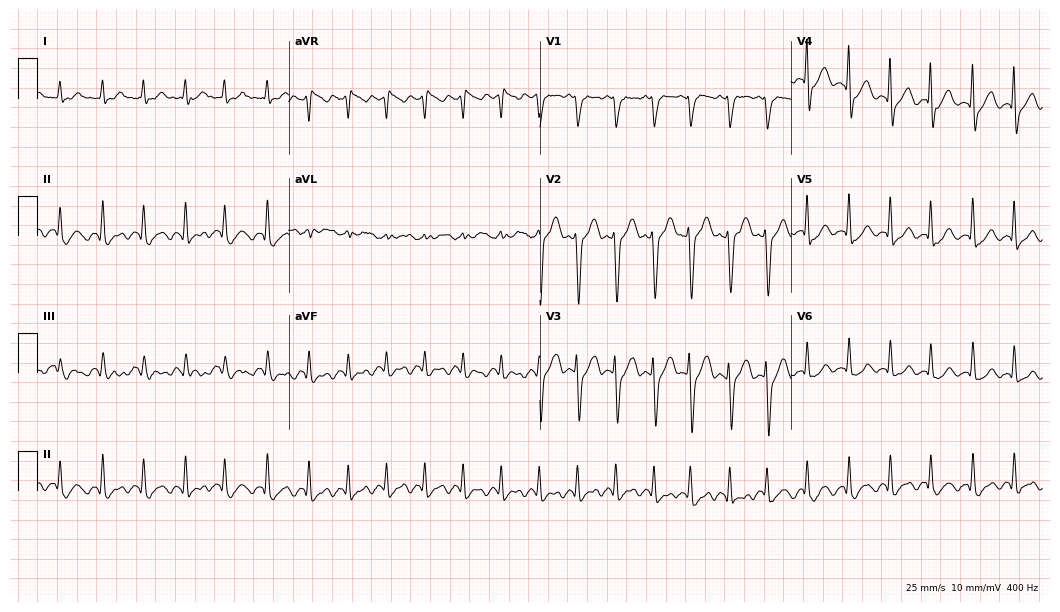
Resting 12-lead electrocardiogram (10.2-second recording at 400 Hz). Patient: a 54-year-old man. None of these six findings is recorded: first-degree AV block, right bundle branch block, left bundle branch block, sinus bradycardia, atrial fibrillation, sinus tachycardia.